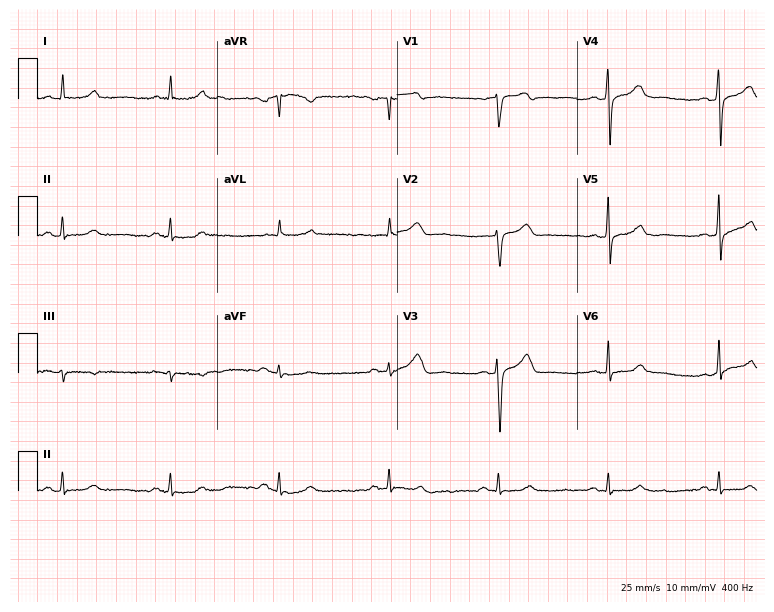
12-lead ECG from a male patient, 58 years old. Labelled as a normal ECG.